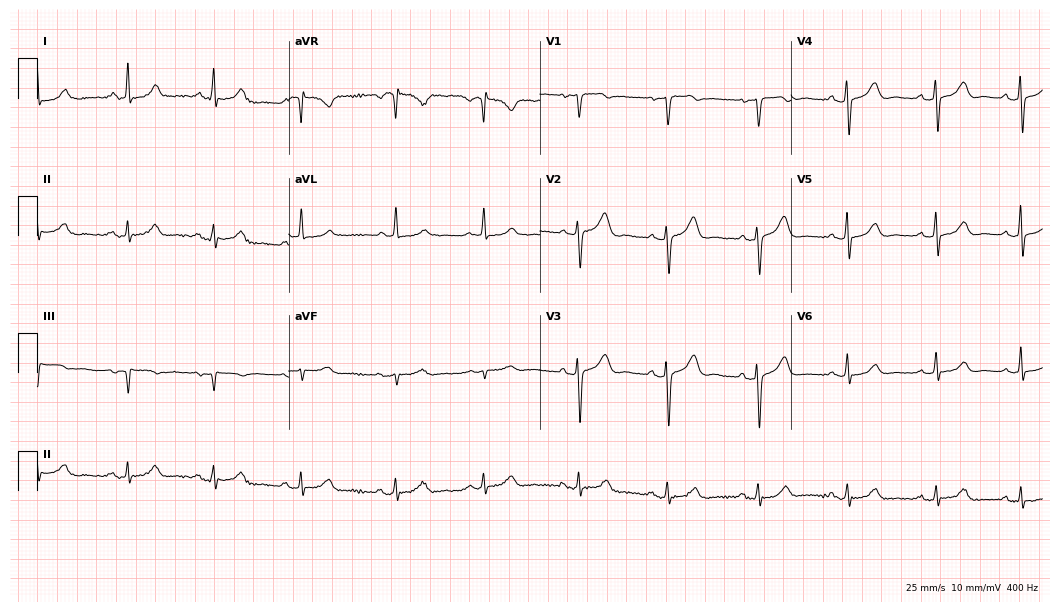
12-lead ECG (10.2-second recording at 400 Hz) from a female, 66 years old. Labelled as a normal ECG.